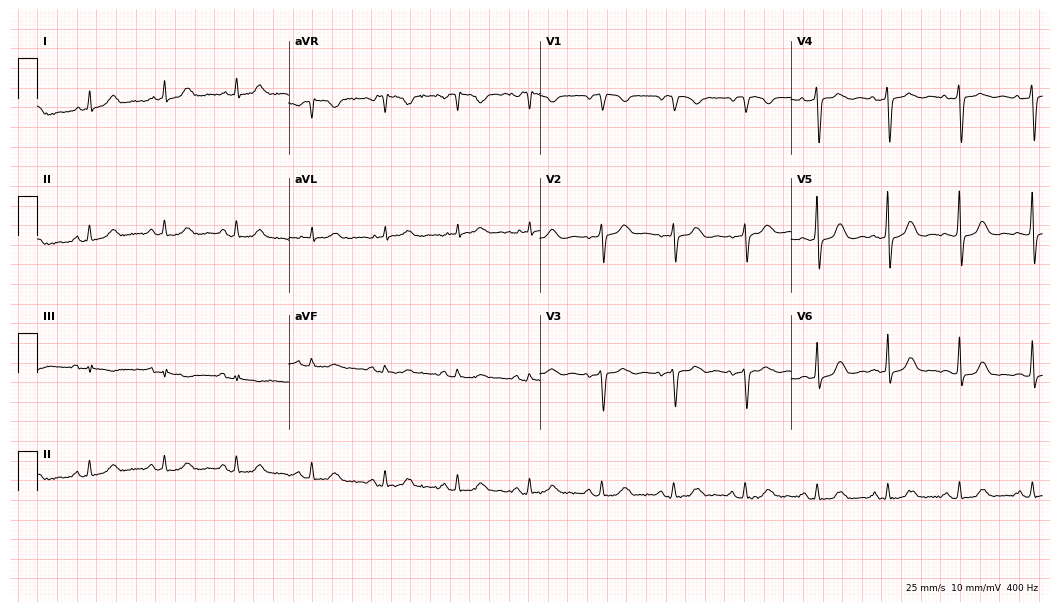
ECG (10.2-second recording at 400 Hz) — a female, 52 years old. Screened for six findings — first-degree AV block, right bundle branch block, left bundle branch block, sinus bradycardia, atrial fibrillation, sinus tachycardia — none is recorded. Findings outside these six are not listed.